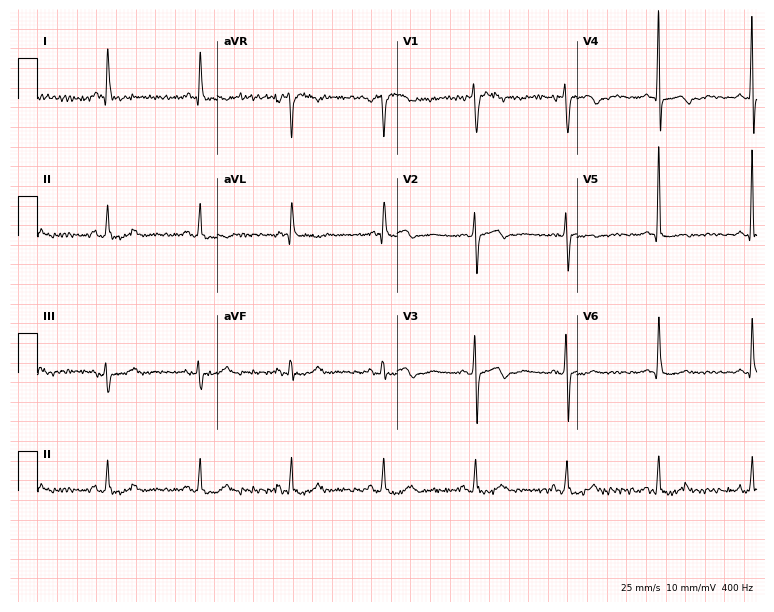
12-lead ECG from a 60-year-old woman (7.3-second recording at 400 Hz). No first-degree AV block, right bundle branch block, left bundle branch block, sinus bradycardia, atrial fibrillation or sinus tachycardia recorded for this tracing.